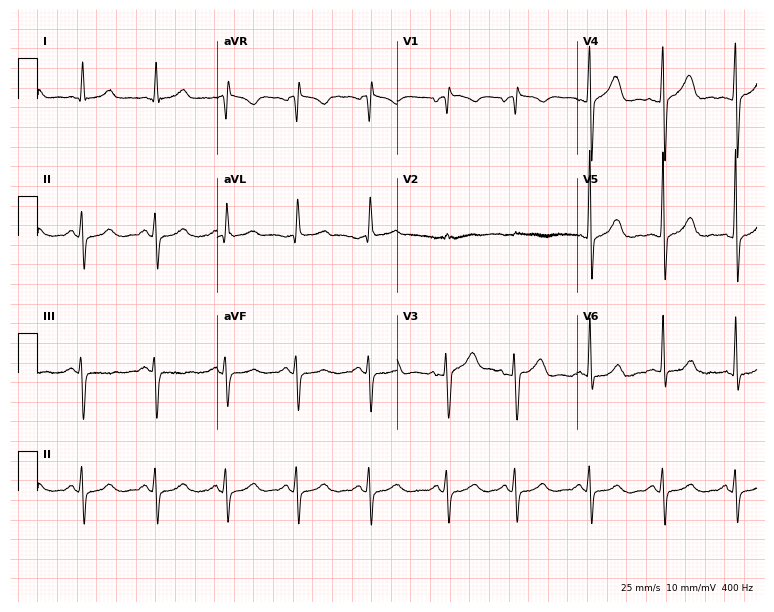
ECG (7.3-second recording at 400 Hz) — a woman, 60 years old. Screened for six findings — first-degree AV block, right bundle branch block (RBBB), left bundle branch block (LBBB), sinus bradycardia, atrial fibrillation (AF), sinus tachycardia — none is recorded. Only these six findings were labelled.